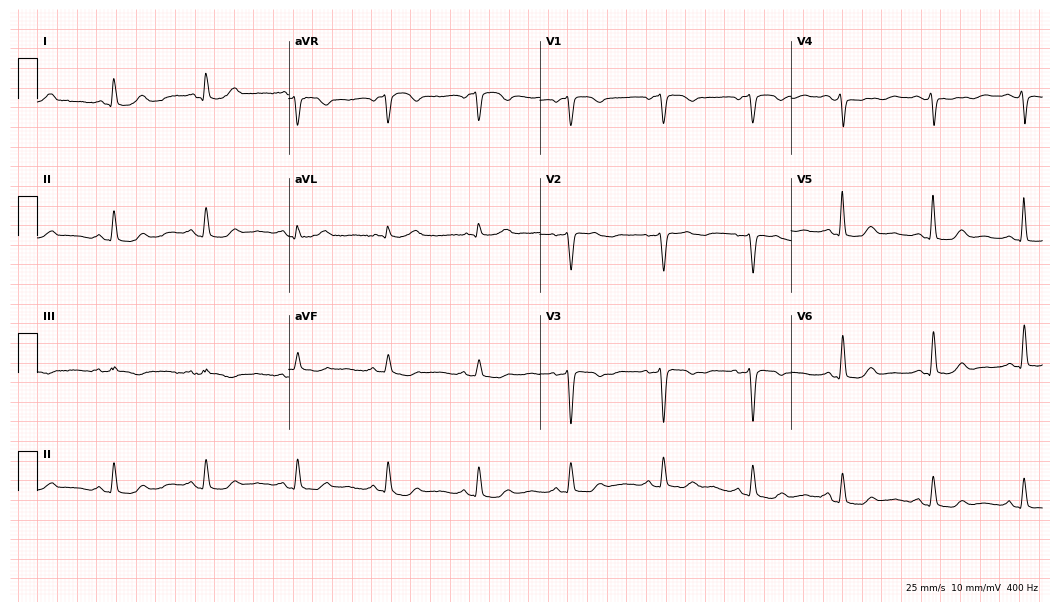
Resting 12-lead electrocardiogram. Patient: an 85-year-old female. None of these six findings is recorded: first-degree AV block, right bundle branch block, left bundle branch block, sinus bradycardia, atrial fibrillation, sinus tachycardia. Other findings, if any, are not listed.